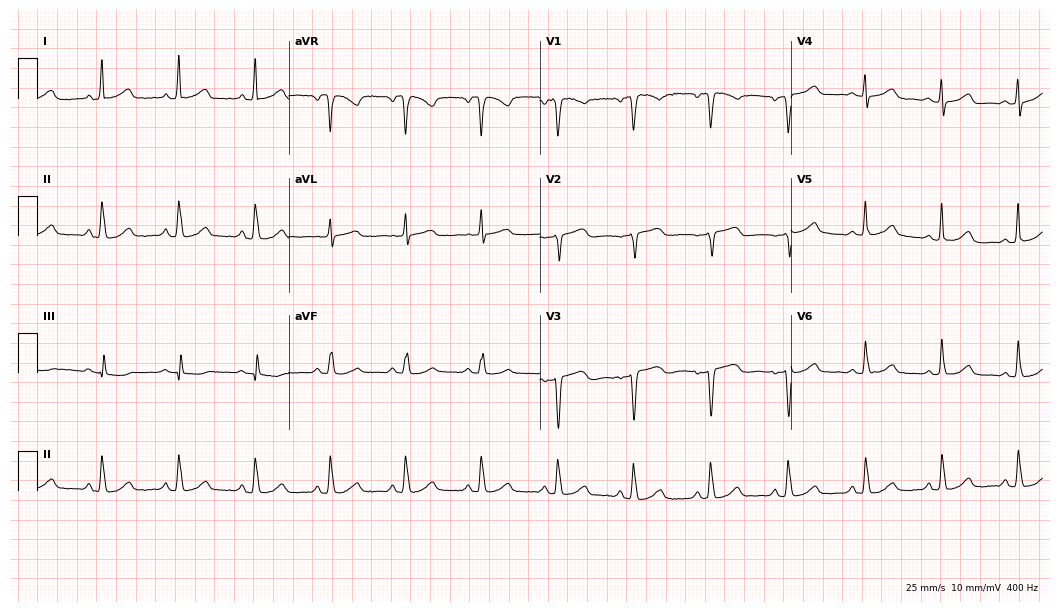
ECG — a female, 60 years old. Screened for six findings — first-degree AV block, right bundle branch block, left bundle branch block, sinus bradycardia, atrial fibrillation, sinus tachycardia — none is recorded. Findings outside these six are not listed.